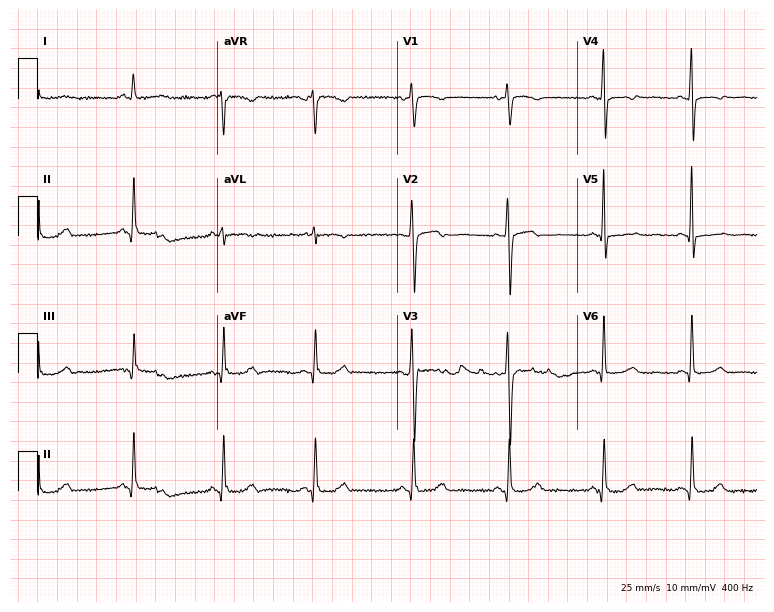
Standard 12-lead ECG recorded from a female patient, 42 years old (7.3-second recording at 400 Hz). None of these six findings is recorded: first-degree AV block, right bundle branch block, left bundle branch block, sinus bradycardia, atrial fibrillation, sinus tachycardia.